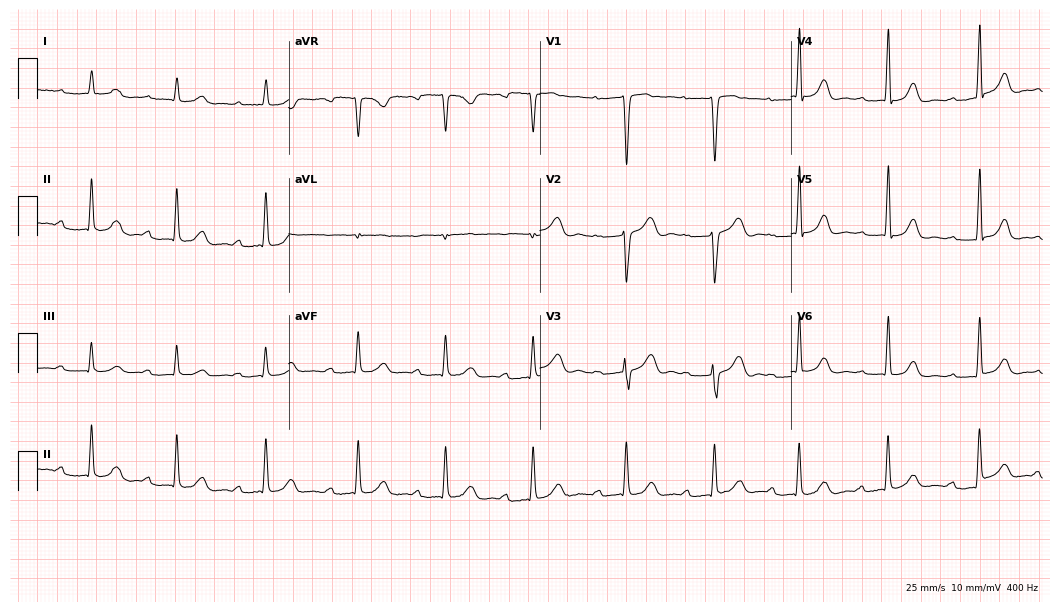
ECG (10.2-second recording at 400 Hz) — a female patient, 51 years old. Findings include first-degree AV block.